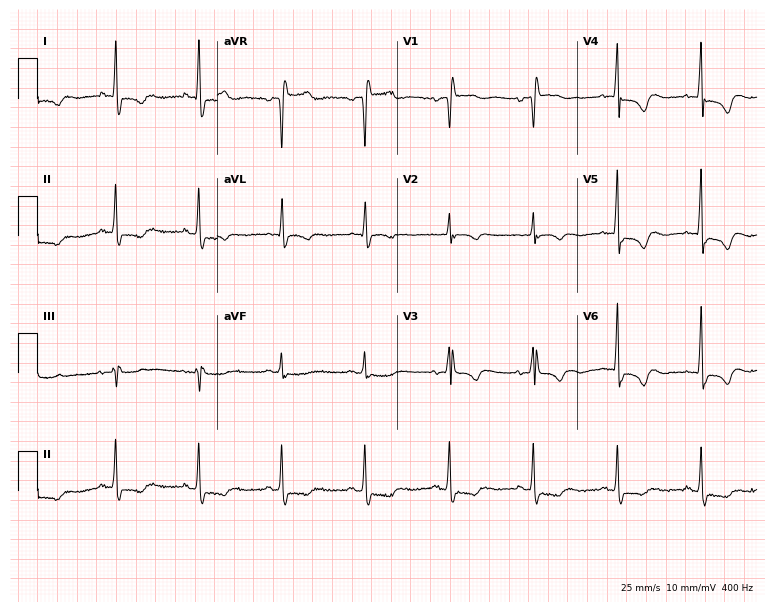
12-lead ECG from a 77-year-old male patient. Labelled as a normal ECG.